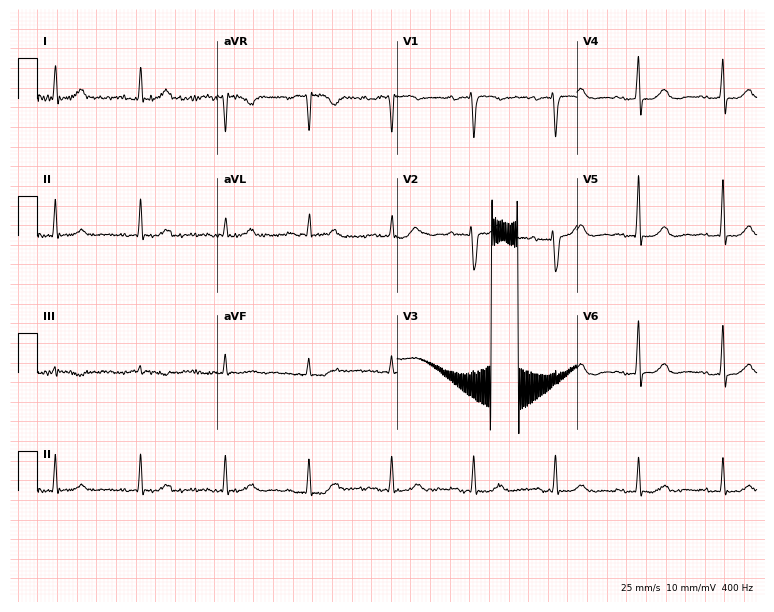
ECG — a 60-year-old female patient. Screened for six findings — first-degree AV block, right bundle branch block (RBBB), left bundle branch block (LBBB), sinus bradycardia, atrial fibrillation (AF), sinus tachycardia — none is recorded.